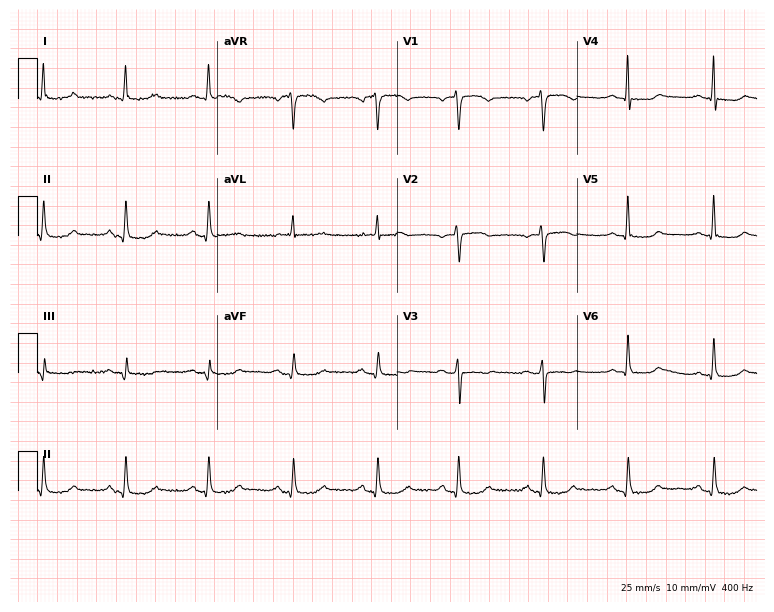
ECG (7.3-second recording at 400 Hz) — a woman, 52 years old. Screened for six findings — first-degree AV block, right bundle branch block (RBBB), left bundle branch block (LBBB), sinus bradycardia, atrial fibrillation (AF), sinus tachycardia — none is recorded. Only these six findings were labelled.